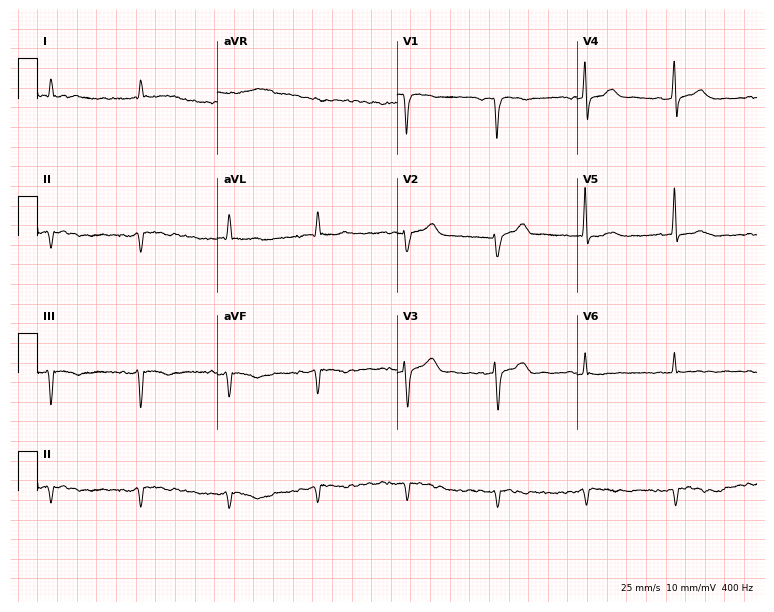
Electrocardiogram (7.3-second recording at 400 Hz), a male, 76 years old. Of the six screened findings (first-degree AV block, right bundle branch block, left bundle branch block, sinus bradycardia, atrial fibrillation, sinus tachycardia), none is recorded. Only these six findings were labelled.